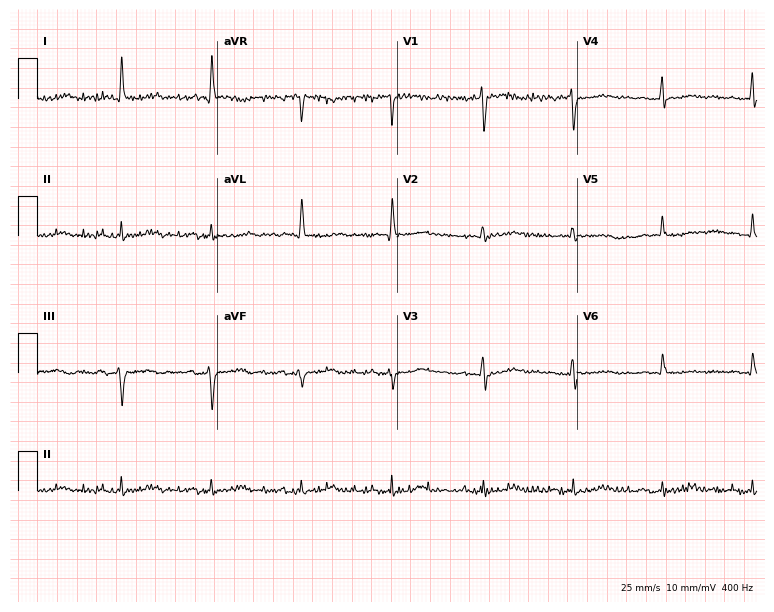
Resting 12-lead electrocardiogram. Patient: an 81-year-old female. None of these six findings is recorded: first-degree AV block, right bundle branch block, left bundle branch block, sinus bradycardia, atrial fibrillation, sinus tachycardia.